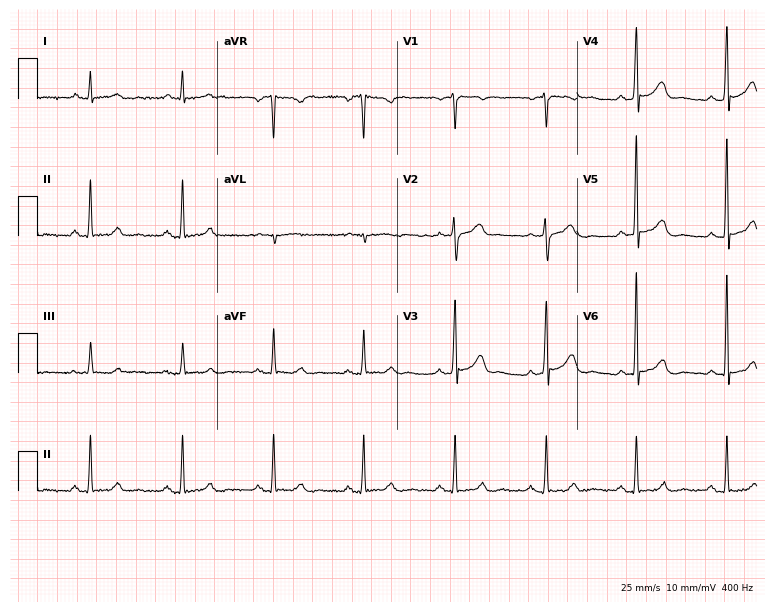
Standard 12-lead ECG recorded from a 54-year-old man (7.3-second recording at 400 Hz). Read as a normal ECG.